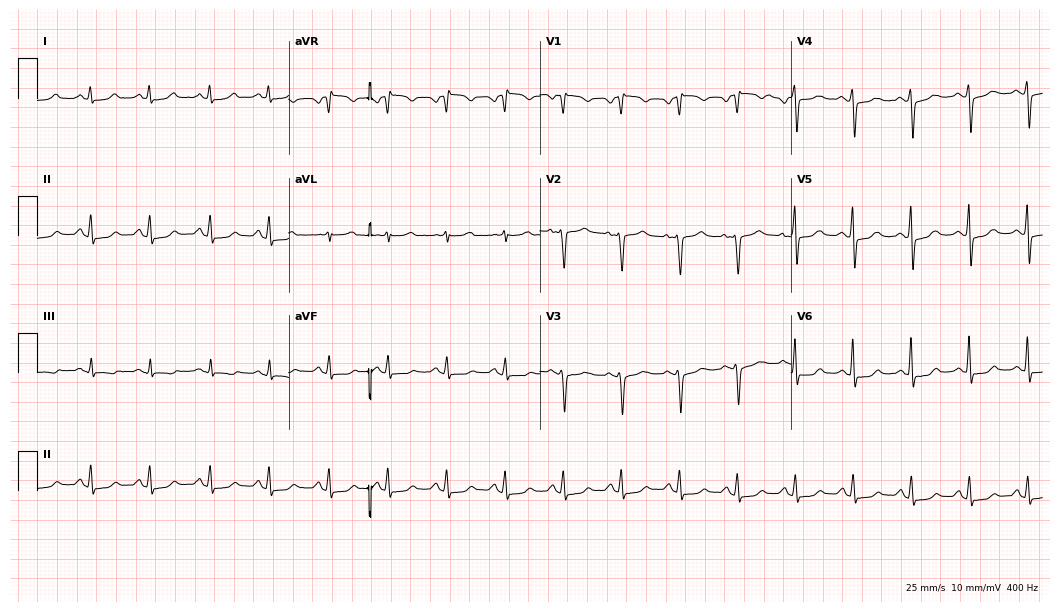
Electrocardiogram (10.2-second recording at 400 Hz), a woman, 59 years old. Interpretation includes sinus tachycardia (a sinus rate of 100 beats per minute or more).